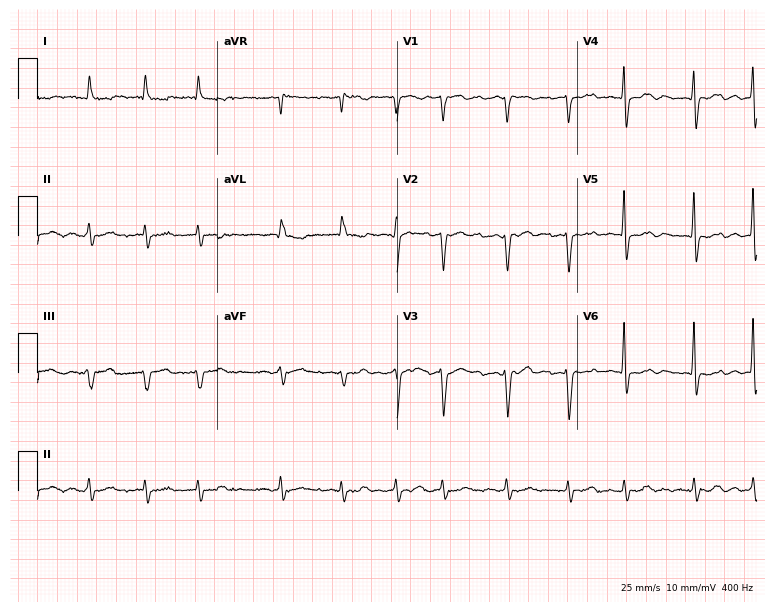
Resting 12-lead electrocardiogram (7.3-second recording at 400 Hz). Patient: a female, 86 years old. The tracing shows atrial fibrillation (AF).